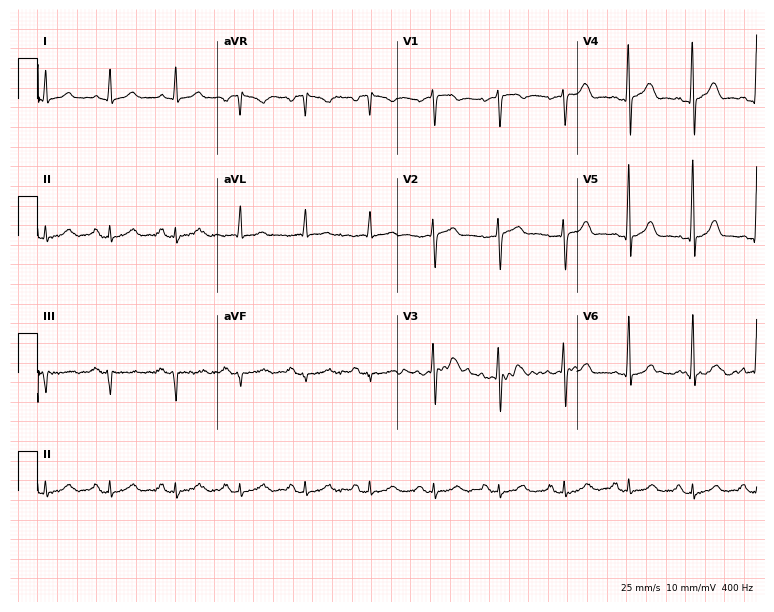
Resting 12-lead electrocardiogram (7.3-second recording at 400 Hz). Patient: a man, 83 years old. None of these six findings is recorded: first-degree AV block, right bundle branch block, left bundle branch block, sinus bradycardia, atrial fibrillation, sinus tachycardia.